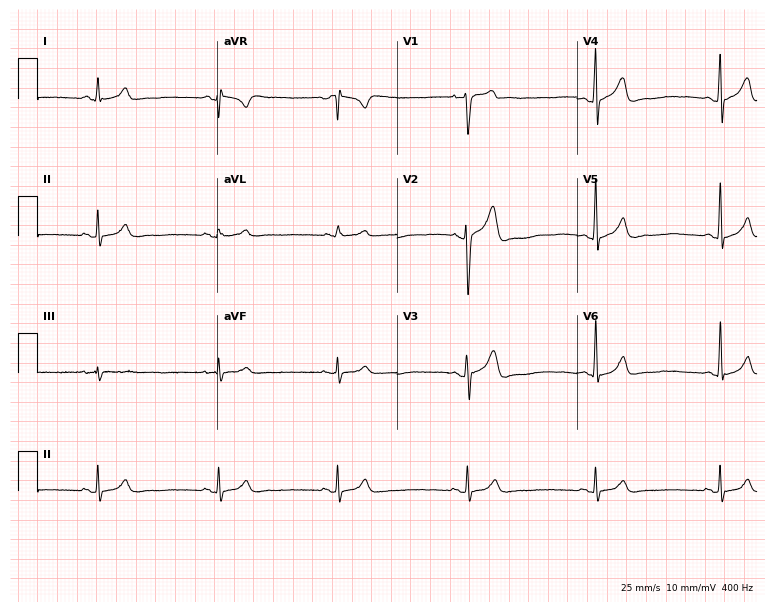
Resting 12-lead electrocardiogram. Patient: a male, 25 years old. The tracing shows sinus bradycardia (a sinus rate of 50 beats per minute or less).